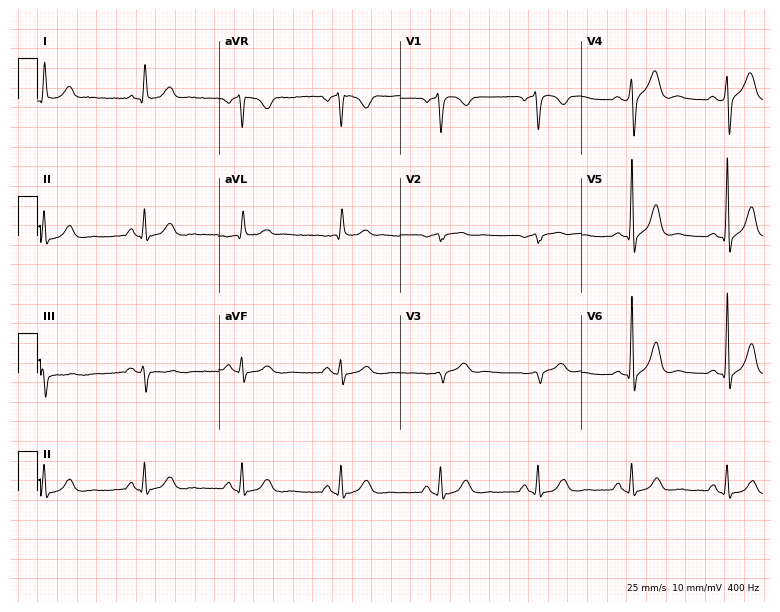
Resting 12-lead electrocardiogram. Patient: a 49-year-old male. None of these six findings is recorded: first-degree AV block, right bundle branch block, left bundle branch block, sinus bradycardia, atrial fibrillation, sinus tachycardia.